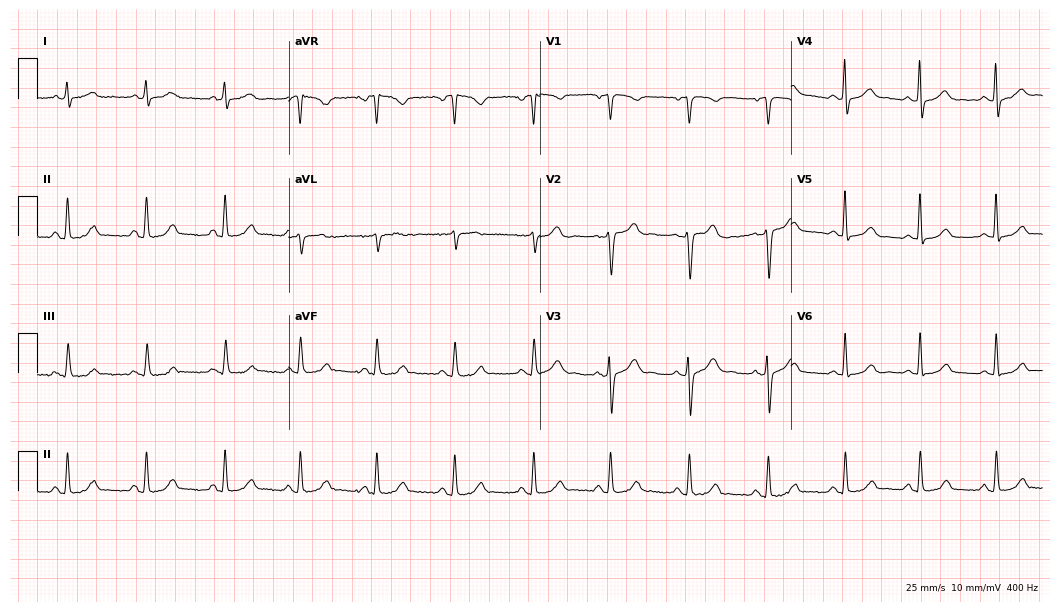
12-lead ECG from a female, 42 years old. Labelled as a normal ECG.